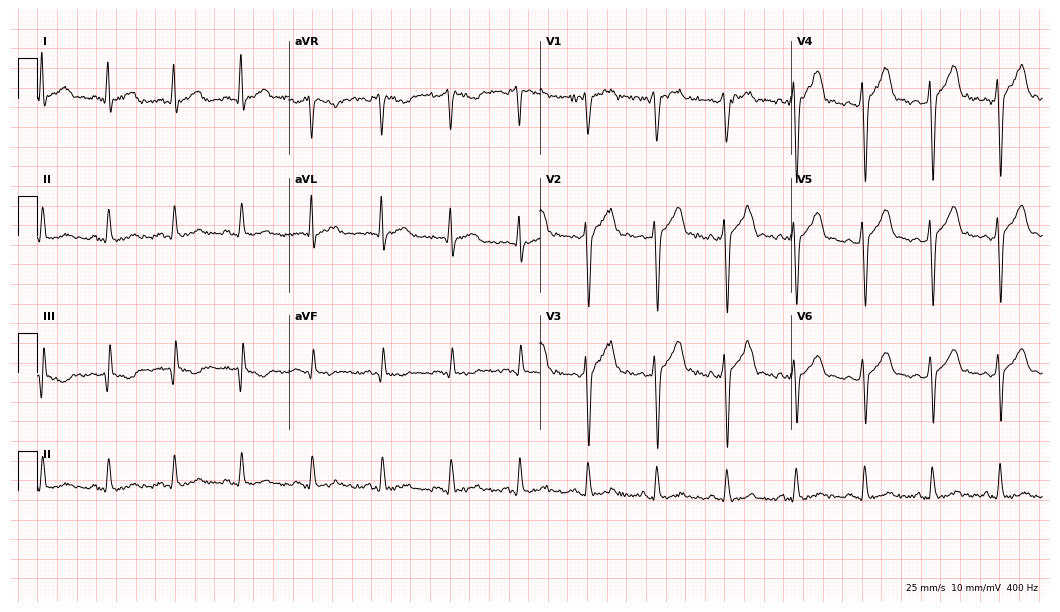
Electrocardiogram (10.2-second recording at 400 Hz), a man, 31 years old. Of the six screened findings (first-degree AV block, right bundle branch block, left bundle branch block, sinus bradycardia, atrial fibrillation, sinus tachycardia), none is recorded. Findings outside these six are not listed.